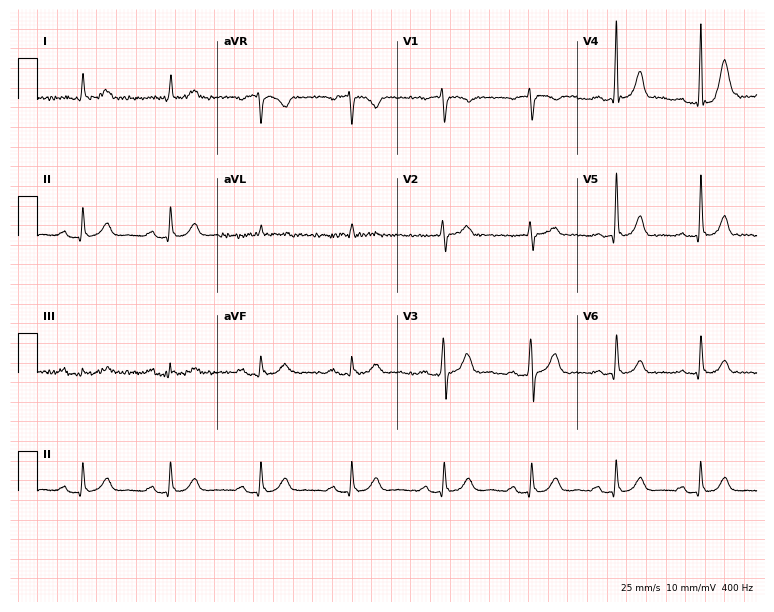
Electrocardiogram, a man, 56 years old. Of the six screened findings (first-degree AV block, right bundle branch block, left bundle branch block, sinus bradycardia, atrial fibrillation, sinus tachycardia), none is recorded. Other findings, if any, are not listed.